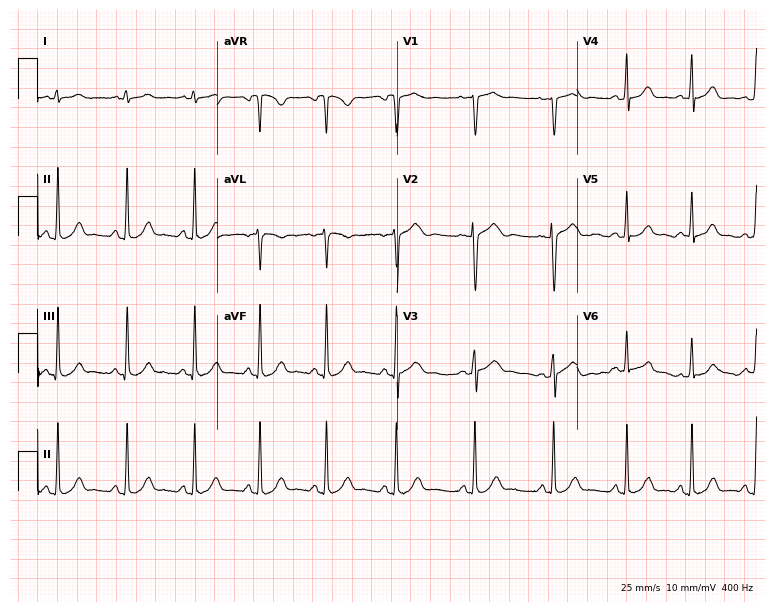
Resting 12-lead electrocardiogram (7.3-second recording at 400 Hz). Patient: a female, 29 years old. None of these six findings is recorded: first-degree AV block, right bundle branch block, left bundle branch block, sinus bradycardia, atrial fibrillation, sinus tachycardia. Other findings, if any, are not listed.